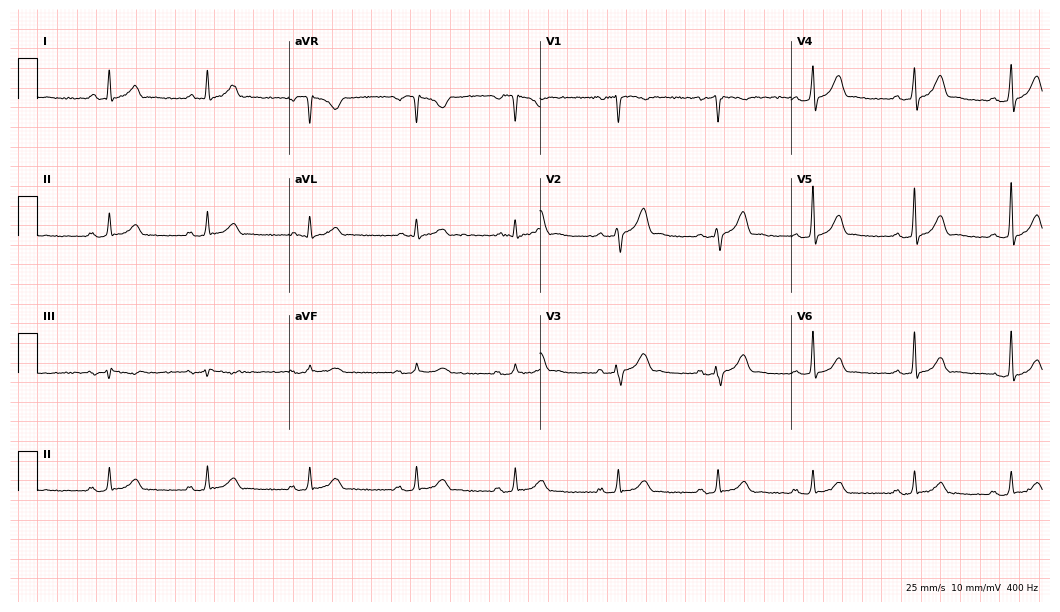
12-lead ECG from a 53-year-old male (10.2-second recording at 400 Hz). Recorded interpretation: within normal limits.